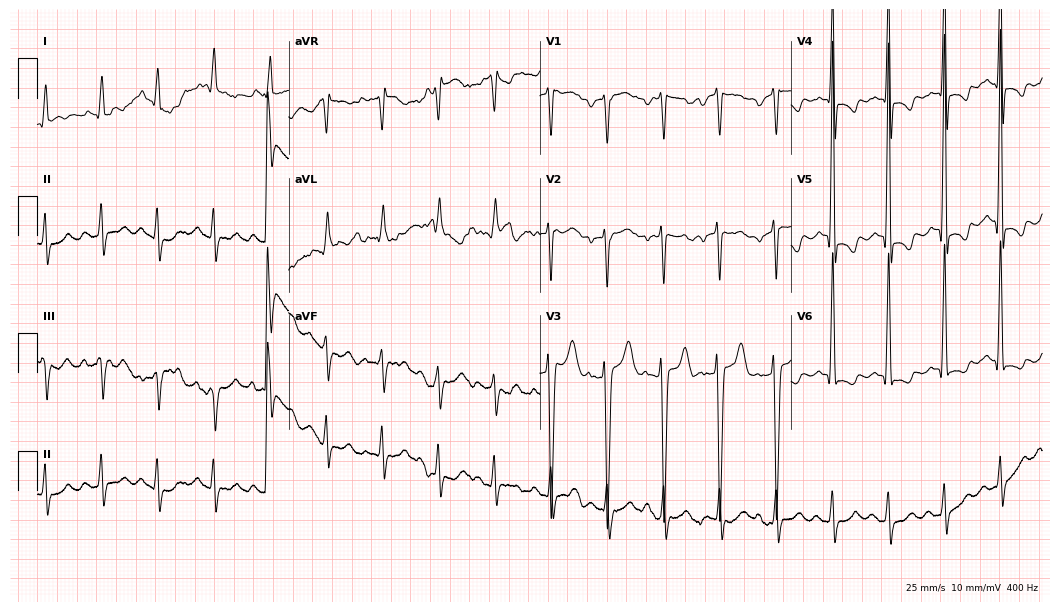
ECG — a male patient, 74 years old. Findings include sinus tachycardia (a sinus rate of 100 beats per minute or more).